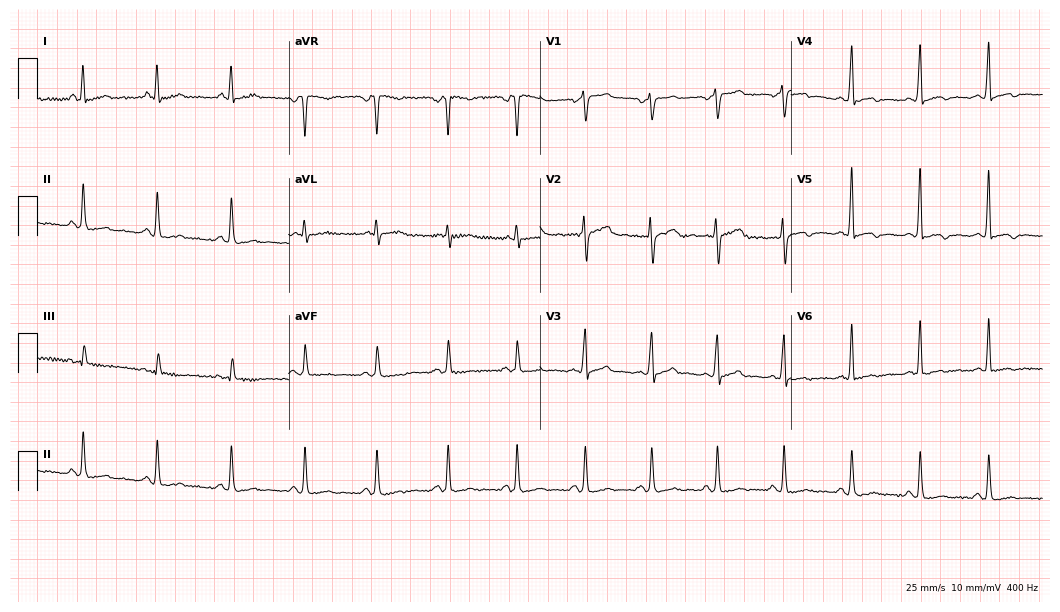
Resting 12-lead electrocardiogram. Patient: a male, 33 years old. None of these six findings is recorded: first-degree AV block, right bundle branch block (RBBB), left bundle branch block (LBBB), sinus bradycardia, atrial fibrillation (AF), sinus tachycardia. Findings outside these six are not listed.